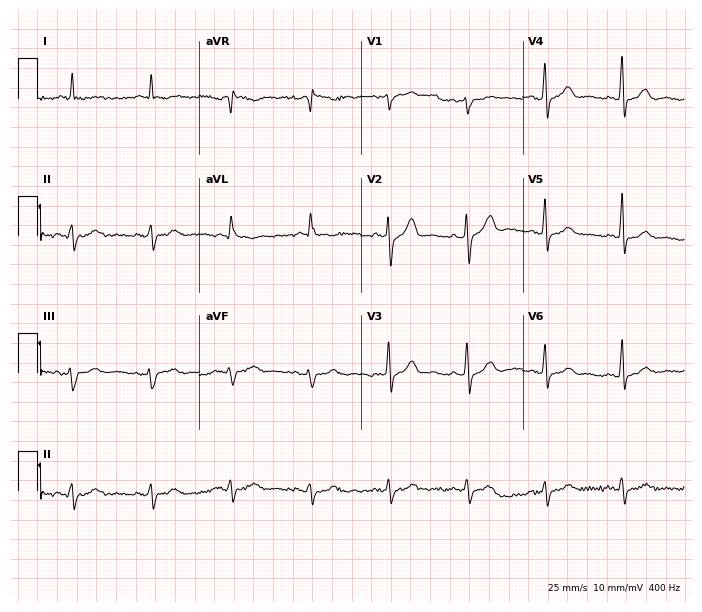
12-lead ECG from a 74-year-old male (6.6-second recording at 400 Hz). No first-degree AV block, right bundle branch block (RBBB), left bundle branch block (LBBB), sinus bradycardia, atrial fibrillation (AF) or sinus tachycardia recorded for this tracing. Other findings, if any, are not listed.